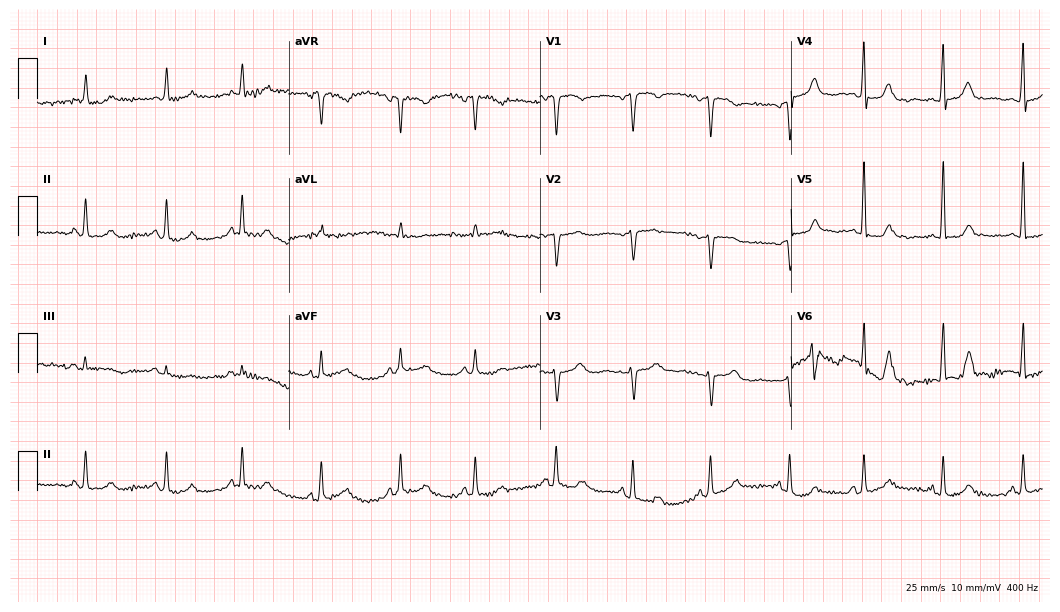
Standard 12-lead ECG recorded from a female, 71 years old (10.2-second recording at 400 Hz). None of these six findings is recorded: first-degree AV block, right bundle branch block, left bundle branch block, sinus bradycardia, atrial fibrillation, sinus tachycardia.